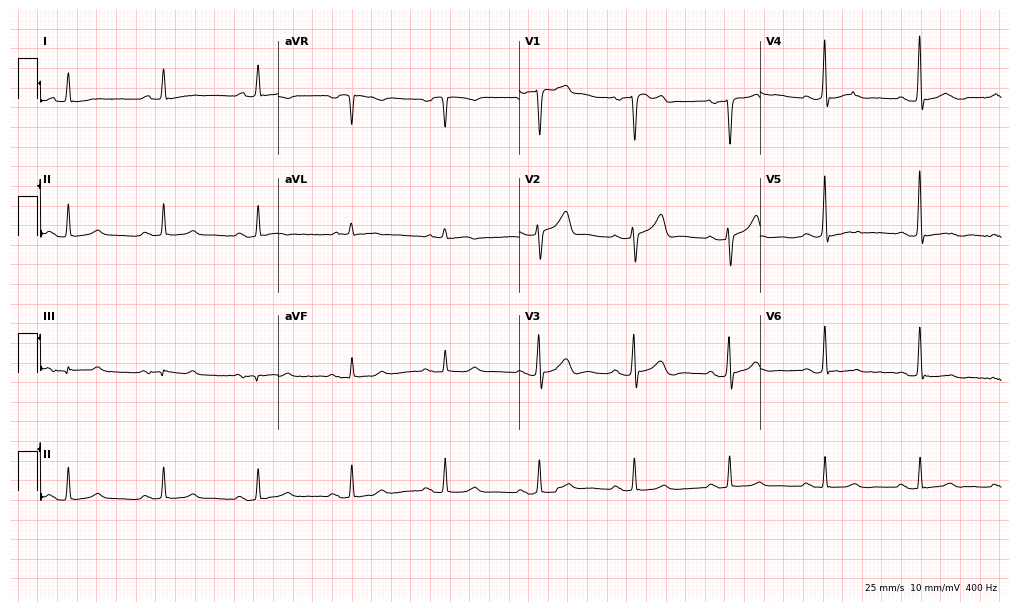
Resting 12-lead electrocardiogram. Patient: a 74-year-old man. Read as a normal ECG.